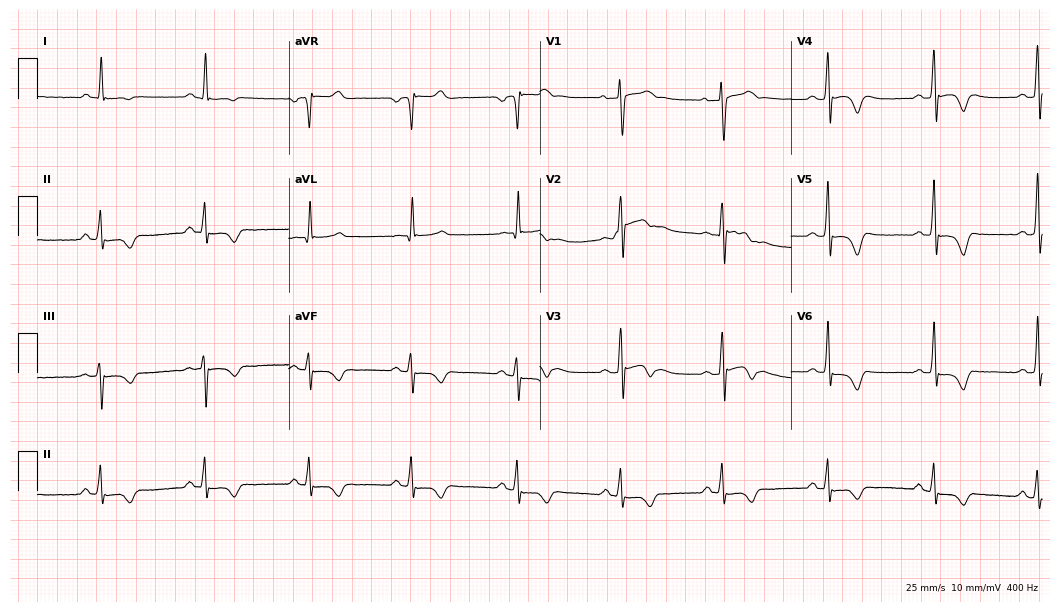
Electrocardiogram, a 42-year-old male. Of the six screened findings (first-degree AV block, right bundle branch block (RBBB), left bundle branch block (LBBB), sinus bradycardia, atrial fibrillation (AF), sinus tachycardia), none is recorded. Other findings, if any, are not listed.